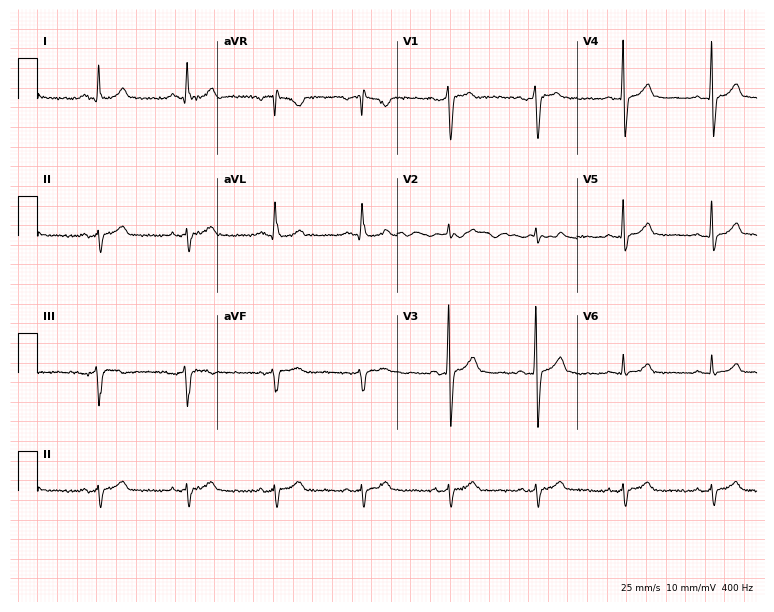
Electrocardiogram (7.3-second recording at 400 Hz), a male patient, 50 years old. Of the six screened findings (first-degree AV block, right bundle branch block, left bundle branch block, sinus bradycardia, atrial fibrillation, sinus tachycardia), none is recorded. Findings outside these six are not listed.